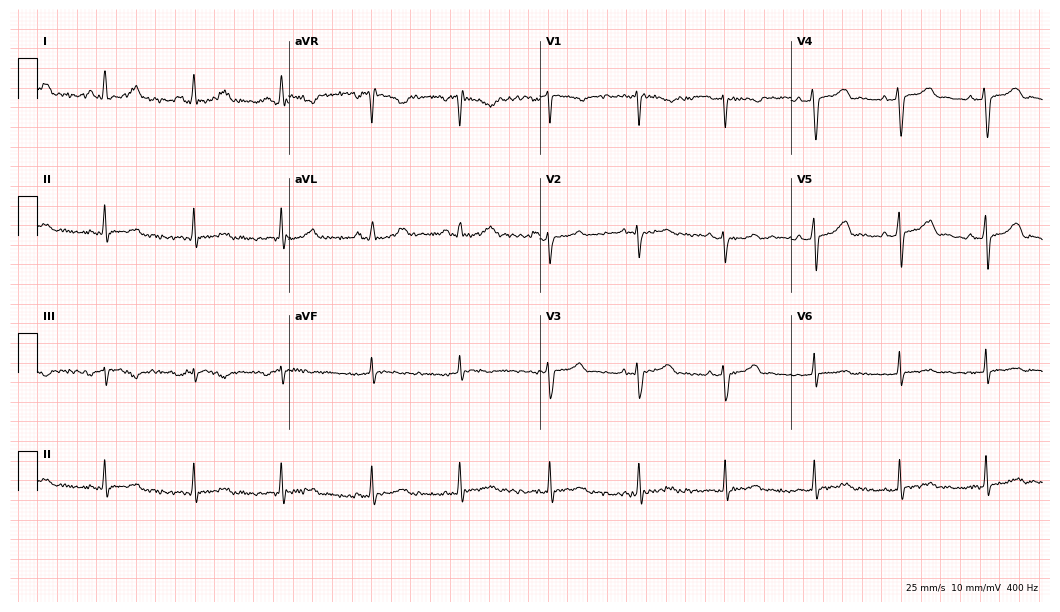
ECG (10.2-second recording at 400 Hz) — a 48-year-old female. Screened for six findings — first-degree AV block, right bundle branch block, left bundle branch block, sinus bradycardia, atrial fibrillation, sinus tachycardia — none is recorded.